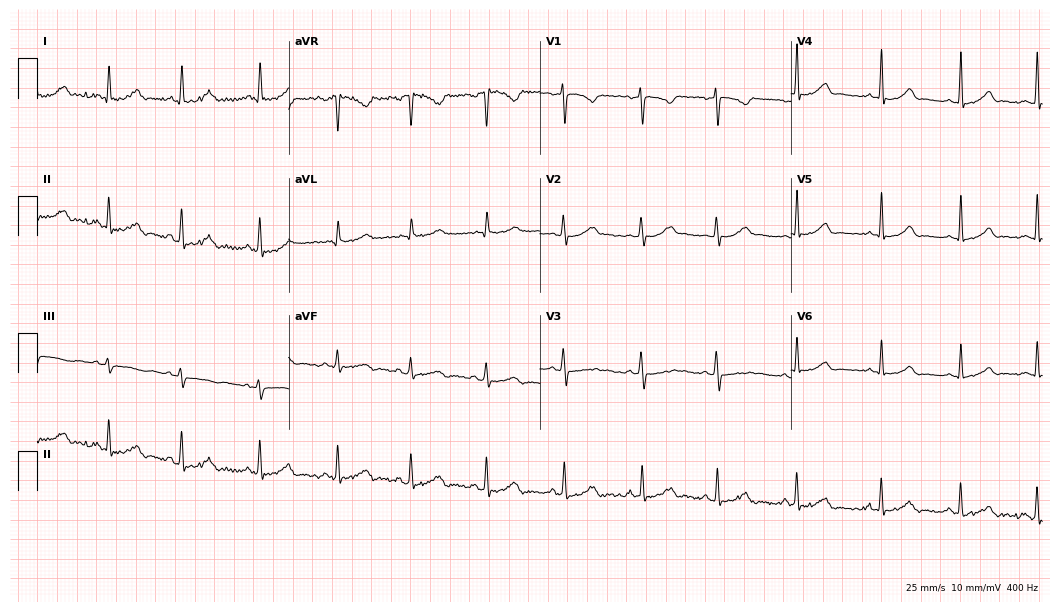
ECG — a female patient, 27 years old. Labelled as a normal ECG.